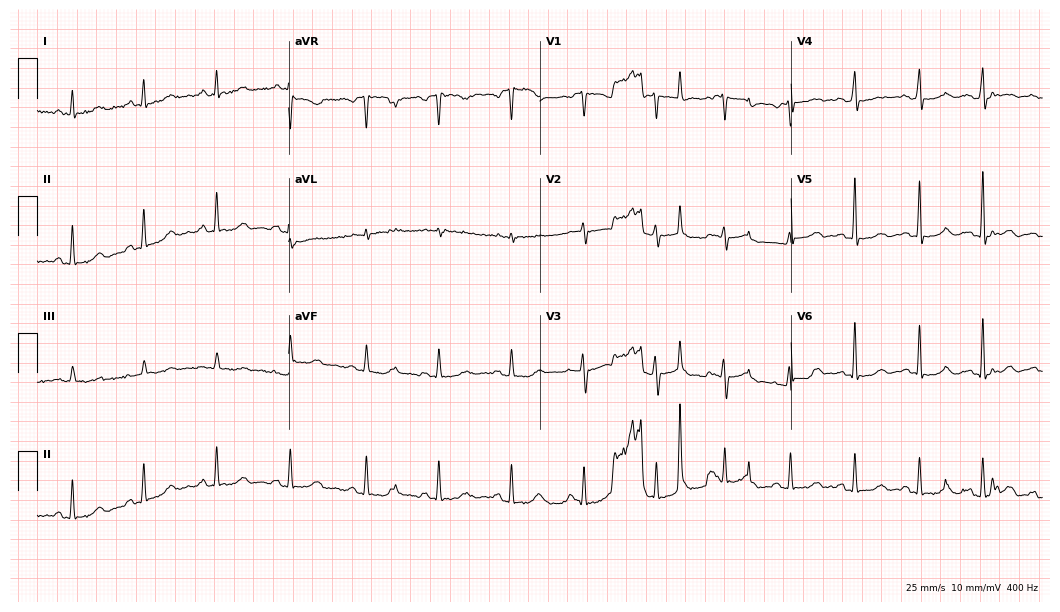
Electrocardiogram (10.2-second recording at 400 Hz), a female, 47 years old. Of the six screened findings (first-degree AV block, right bundle branch block, left bundle branch block, sinus bradycardia, atrial fibrillation, sinus tachycardia), none is recorded.